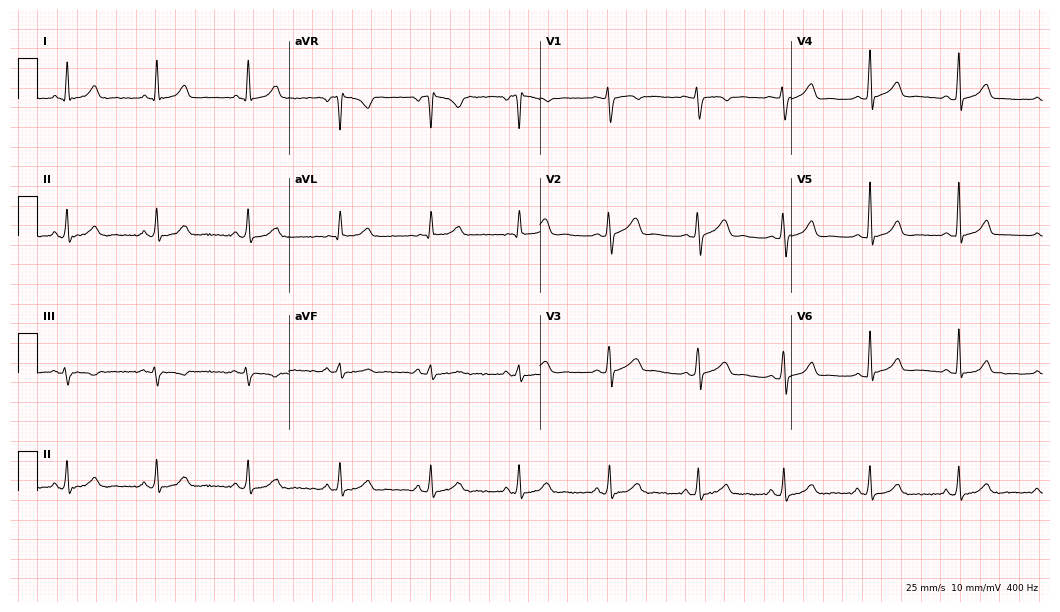
Standard 12-lead ECG recorded from a female, 43 years old. None of these six findings is recorded: first-degree AV block, right bundle branch block, left bundle branch block, sinus bradycardia, atrial fibrillation, sinus tachycardia. Only these six findings were labelled.